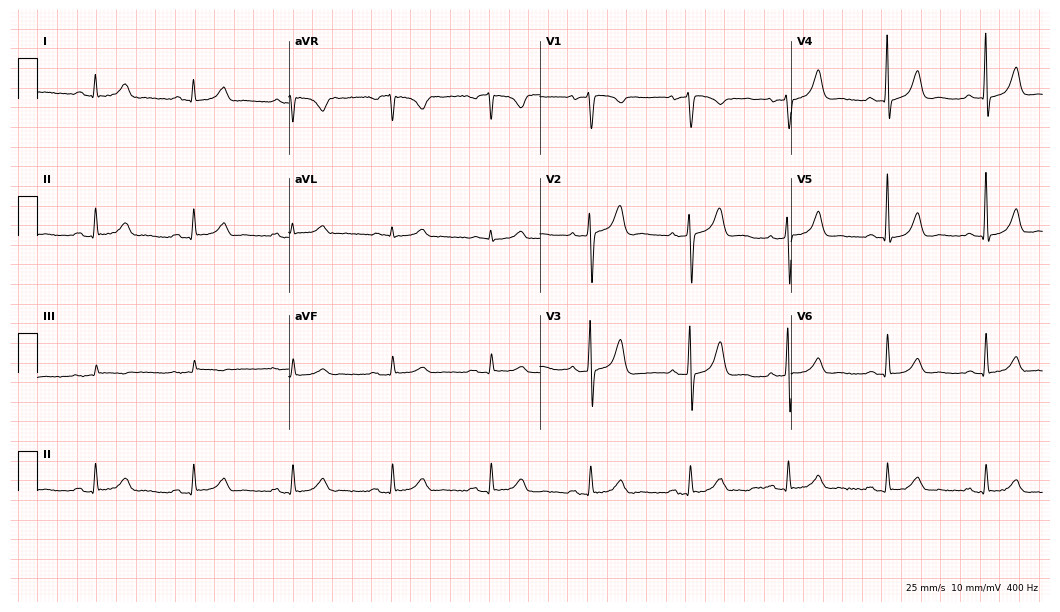
Electrocardiogram, a 70-year-old man. Overall reading on record: normal ECG.